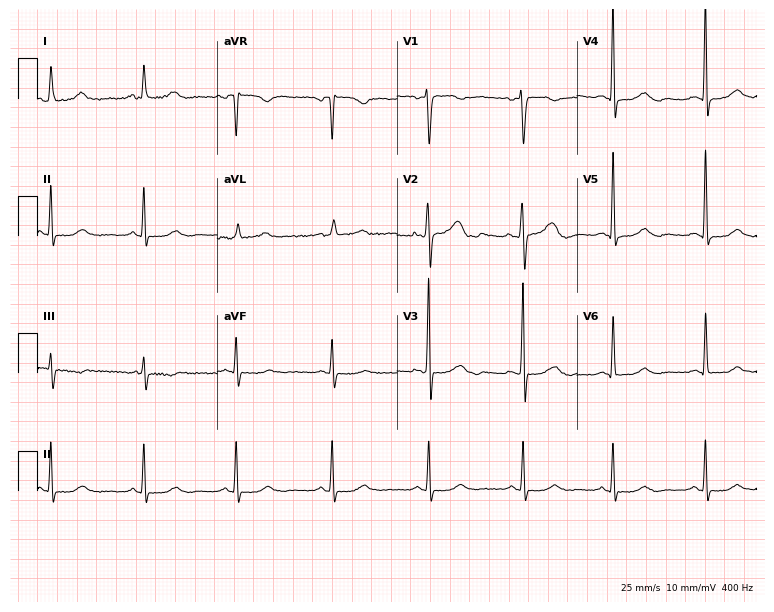
Standard 12-lead ECG recorded from a 47-year-old female patient (7.3-second recording at 400 Hz). None of these six findings is recorded: first-degree AV block, right bundle branch block, left bundle branch block, sinus bradycardia, atrial fibrillation, sinus tachycardia.